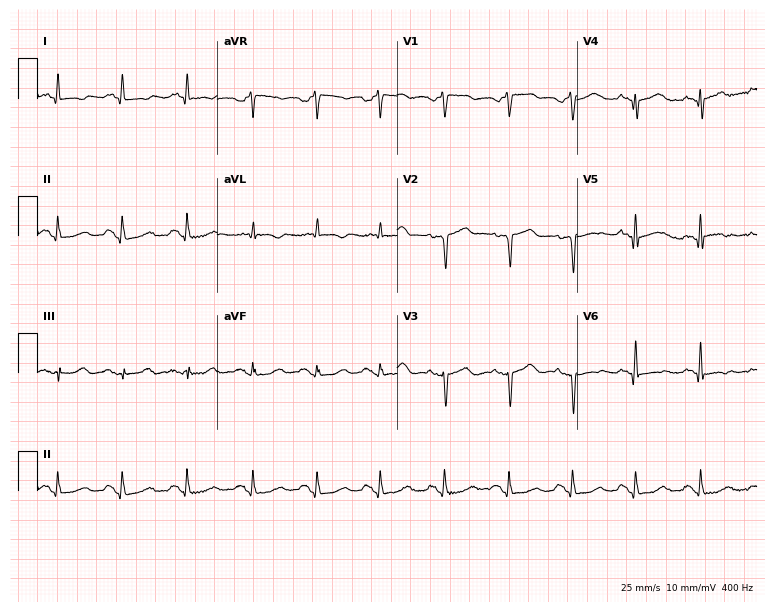
ECG — a man, 77 years old. Screened for six findings — first-degree AV block, right bundle branch block (RBBB), left bundle branch block (LBBB), sinus bradycardia, atrial fibrillation (AF), sinus tachycardia — none is recorded.